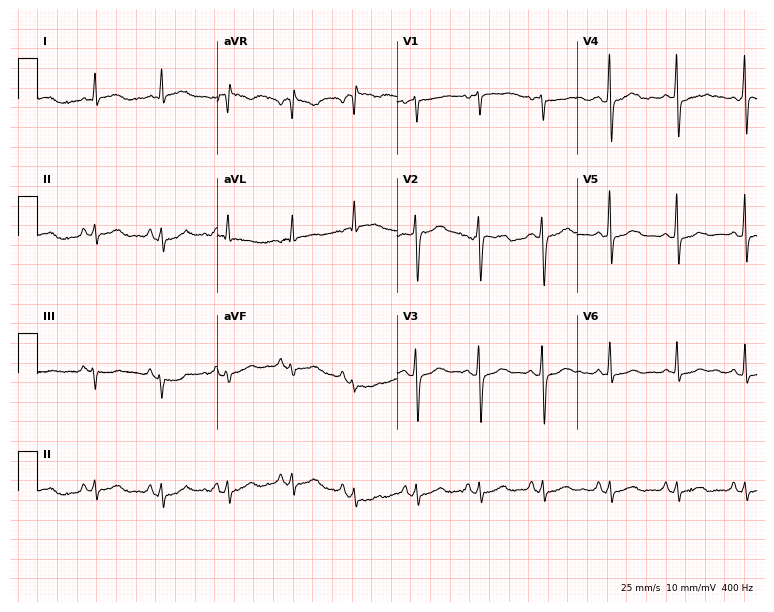
ECG (7.3-second recording at 400 Hz) — a 40-year-old female. Labelled as a normal ECG.